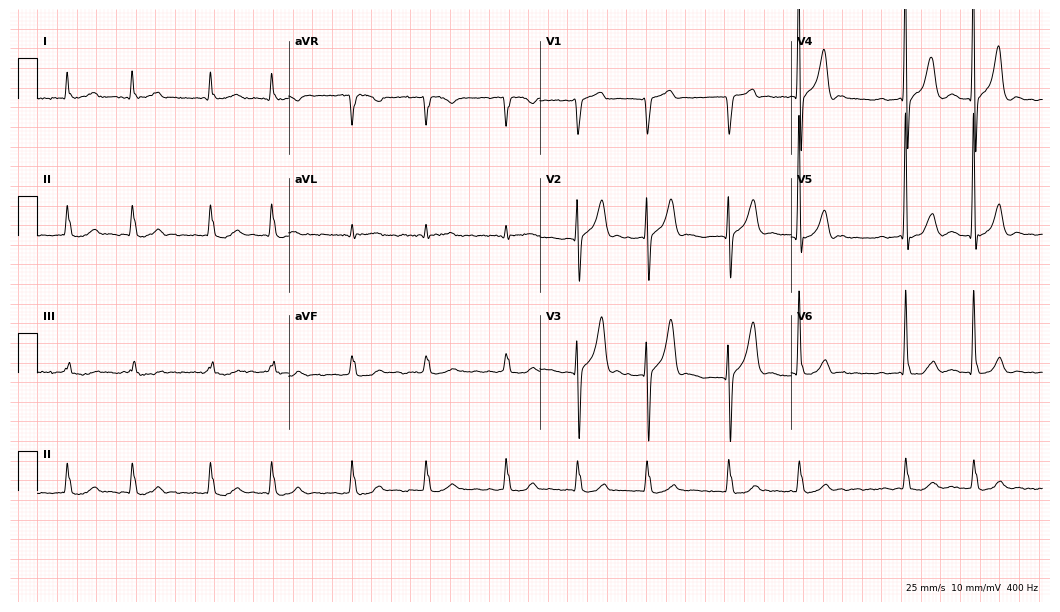
Standard 12-lead ECG recorded from a 70-year-old man. The tracing shows atrial fibrillation.